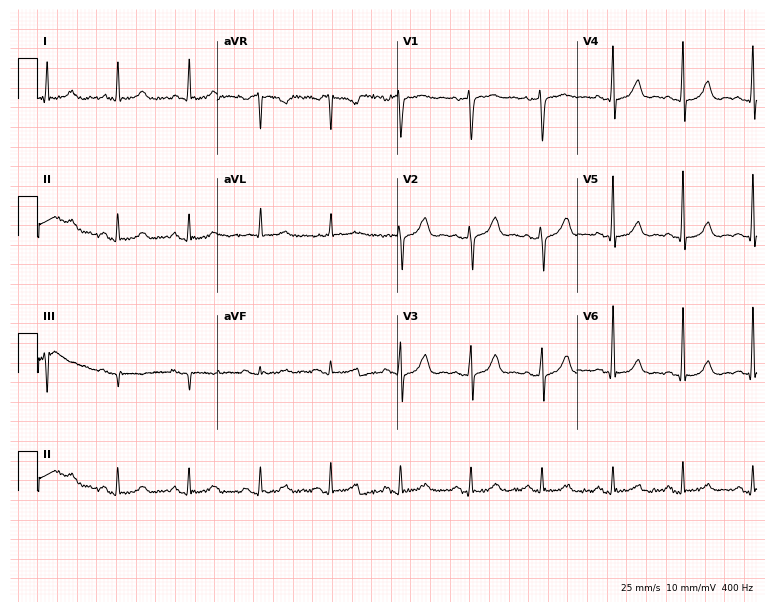
ECG (7.3-second recording at 400 Hz) — a 59-year-old female patient. Screened for six findings — first-degree AV block, right bundle branch block, left bundle branch block, sinus bradycardia, atrial fibrillation, sinus tachycardia — none is recorded. Other findings, if any, are not listed.